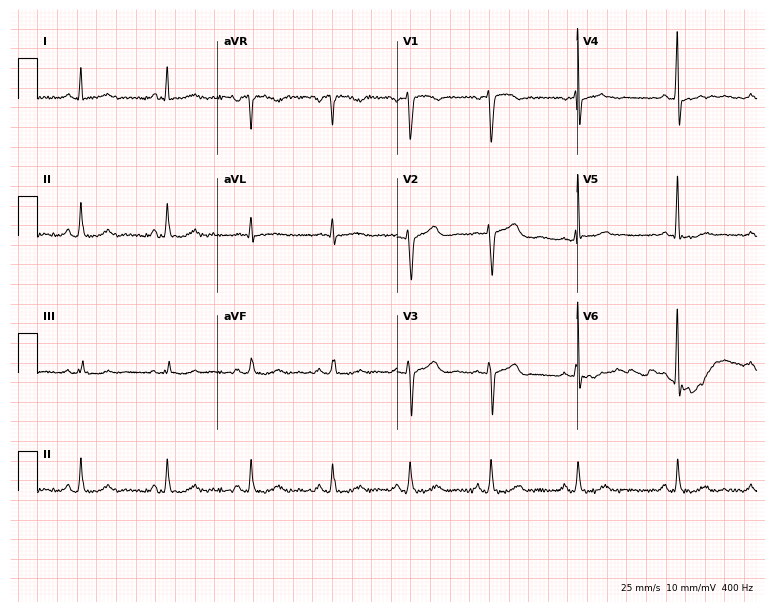
12-lead ECG from a 45-year-old male patient. Screened for six findings — first-degree AV block, right bundle branch block, left bundle branch block, sinus bradycardia, atrial fibrillation, sinus tachycardia — none is recorded. Only these six findings were labelled.